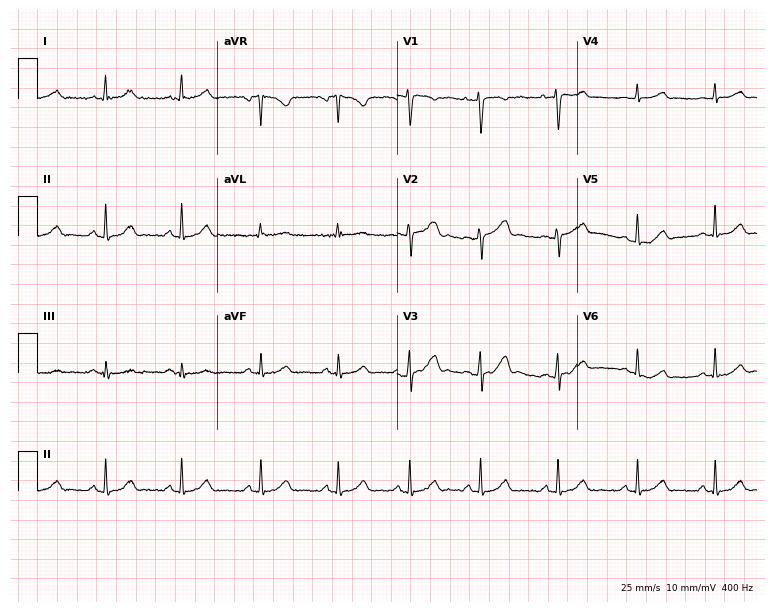
ECG — a female, 25 years old. Labelled as a normal ECG.